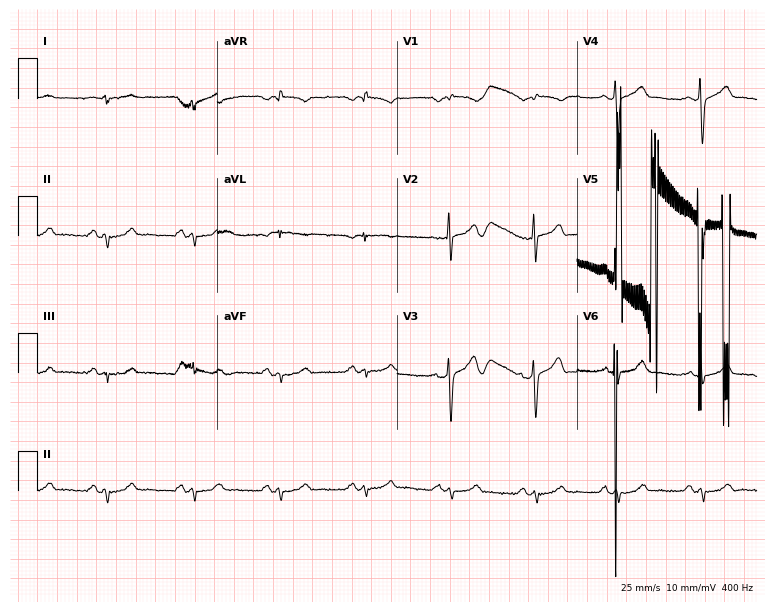
Resting 12-lead electrocardiogram. Patient: a 64-year-old male. None of these six findings is recorded: first-degree AV block, right bundle branch block, left bundle branch block, sinus bradycardia, atrial fibrillation, sinus tachycardia.